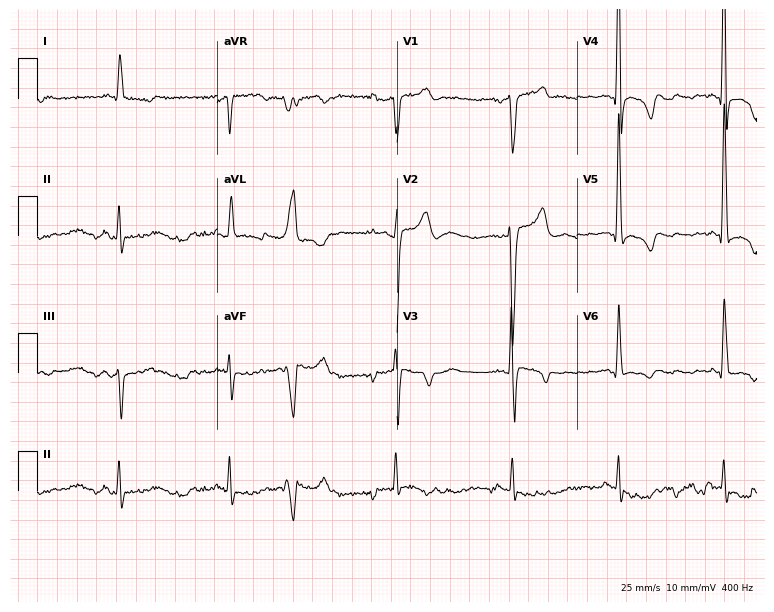
Resting 12-lead electrocardiogram (7.3-second recording at 400 Hz). Patient: a man, 81 years old. None of these six findings is recorded: first-degree AV block, right bundle branch block (RBBB), left bundle branch block (LBBB), sinus bradycardia, atrial fibrillation (AF), sinus tachycardia.